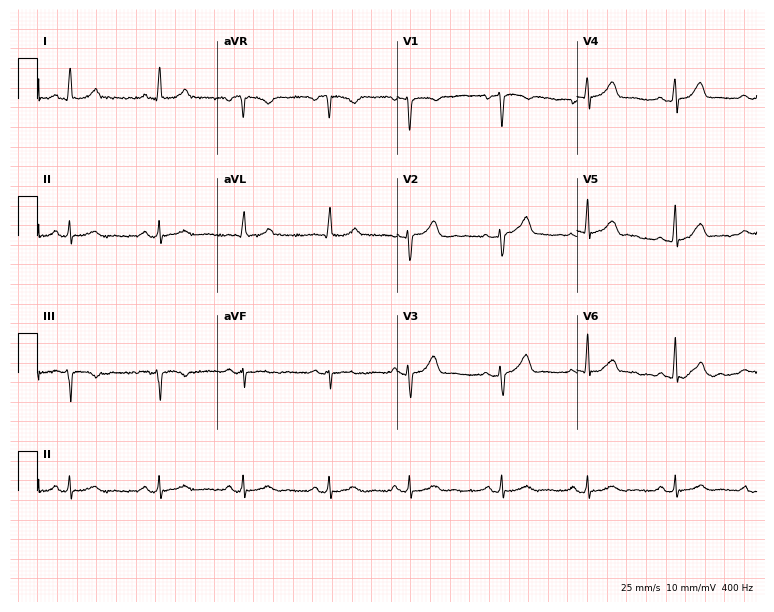
Resting 12-lead electrocardiogram (7.3-second recording at 400 Hz). Patient: a 61-year-old female. None of these six findings is recorded: first-degree AV block, right bundle branch block, left bundle branch block, sinus bradycardia, atrial fibrillation, sinus tachycardia. Only these six findings were labelled.